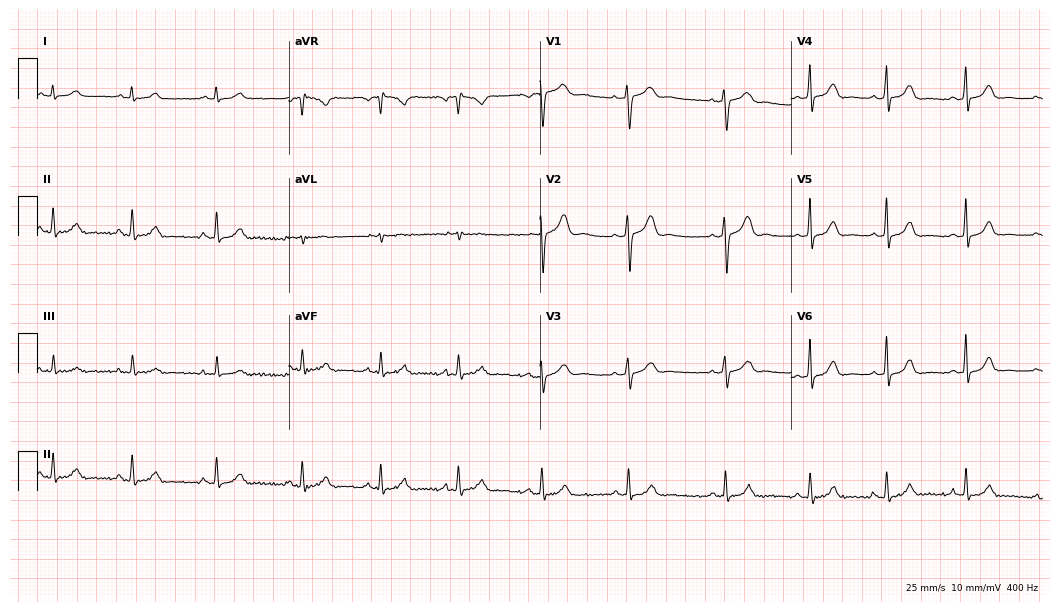
Electrocardiogram (10.2-second recording at 400 Hz), a 29-year-old woman. Overall reading on record: normal ECG.